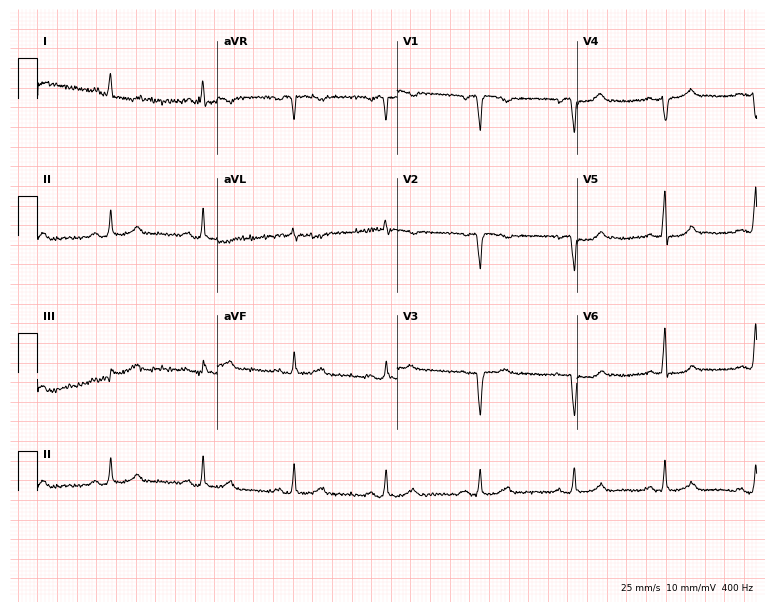
12-lead ECG from a 56-year-old woman. Screened for six findings — first-degree AV block, right bundle branch block (RBBB), left bundle branch block (LBBB), sinus bradycardia, atrial fibrillation (AF), sinus tachycardia — none is recorded.